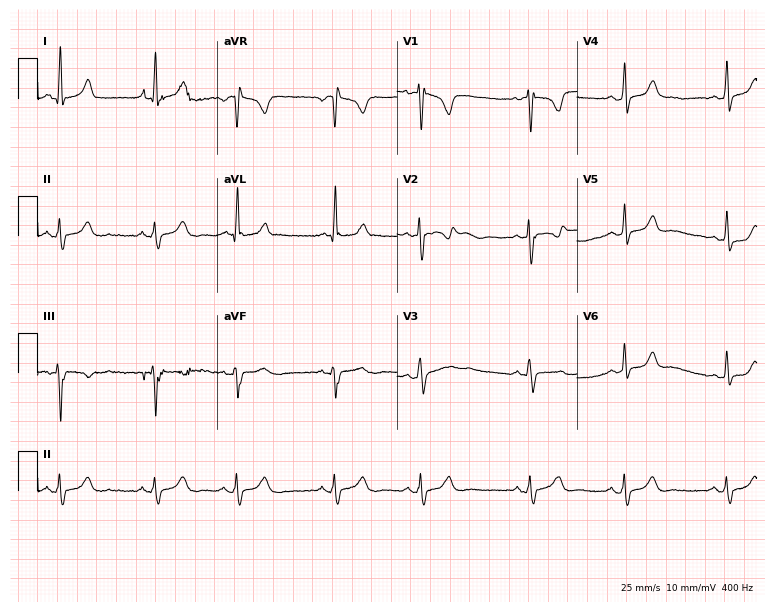
Standard 12-lead ECG recorded from a 17-year-old female. None of these six findings is recorded: first-degree AV block, right bundle branch block, left bundle branch block, sinus bradycardia, atrial fibrillation, sinus tachycardia.